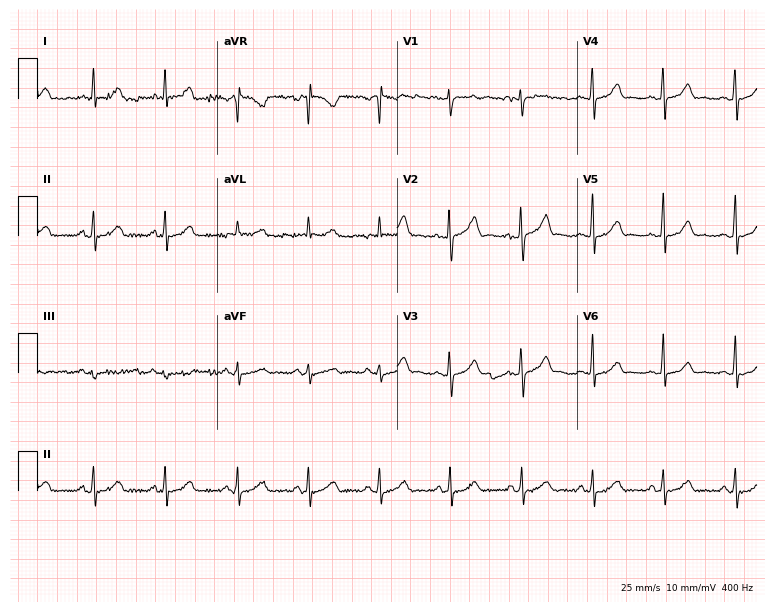
Standard 12-lead ECG recorded from a 54-year-old male patient (7.3-second recording at 400 Hz). Read as a normal ECG.